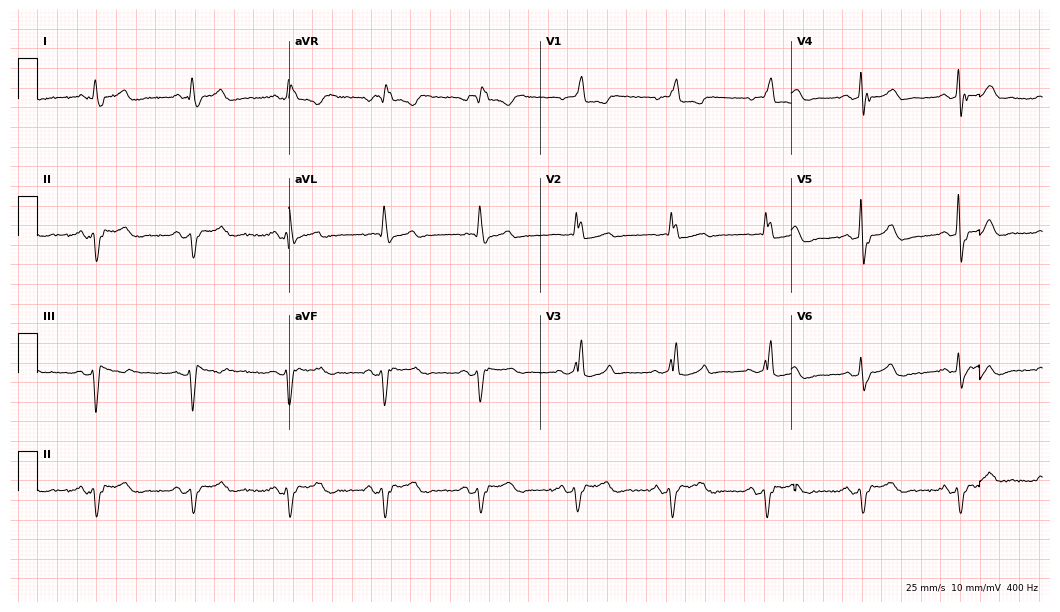
12-lead ECG from a male, 83 years old. Shows right bundle branch block (RBBB).